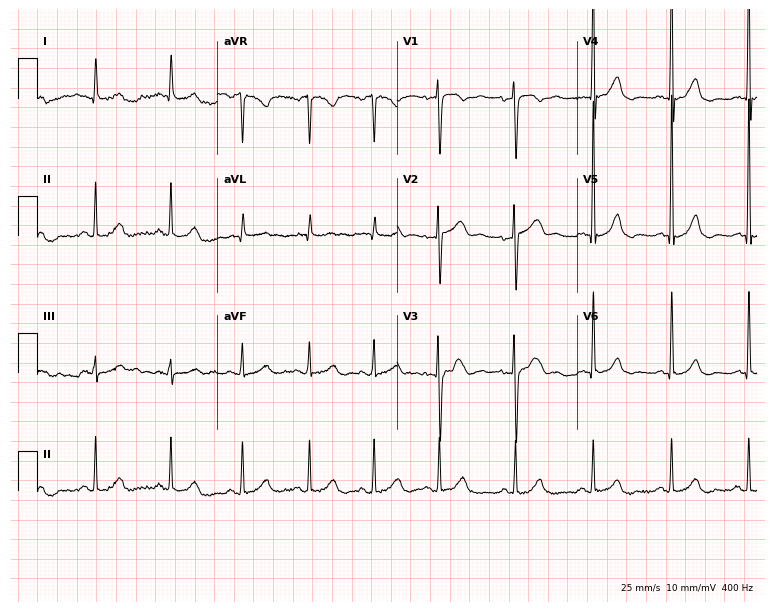
Electrocardiogram (7.3-second recording at 400 Hz), a 52-year-old female patient. Of the six screened findings (first-degree AV block, right bundle branch block, left bundle branch block, sinus bradycardia, atrial fibrillation, sinus tachycardia), none is recorded. Only these six findings were labelled.